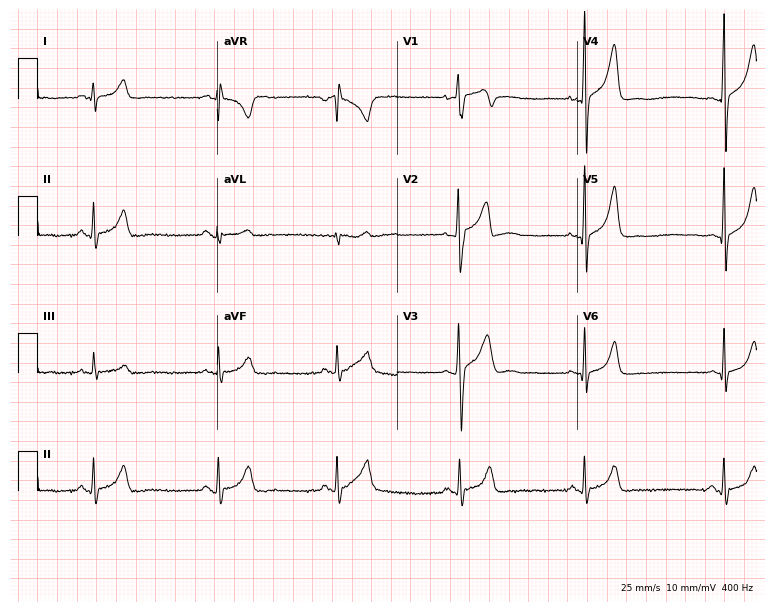
12-lead ECG (7.3-second recording at 400 Hz) from a 22-year-old male. Labelled as a normal ECG.